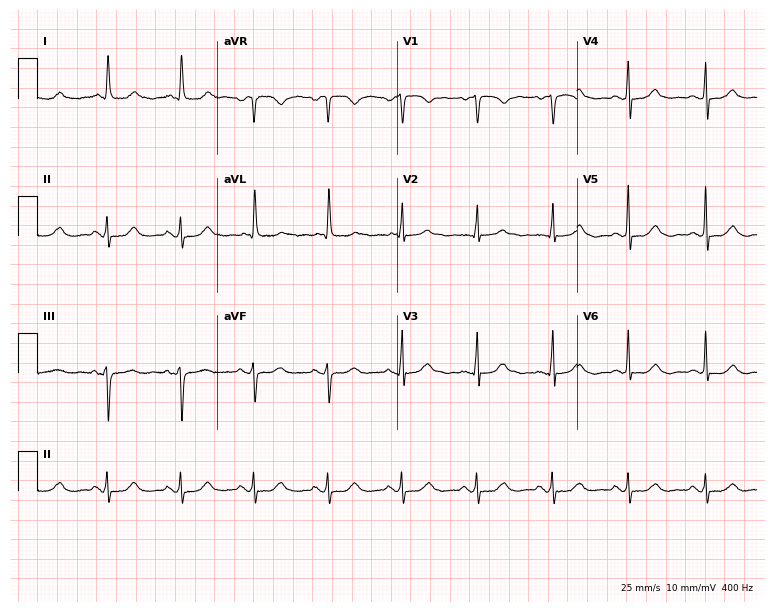
Standard 12-lead ECG recorded from an 84-year-old female patient. Read as a normal ECG.